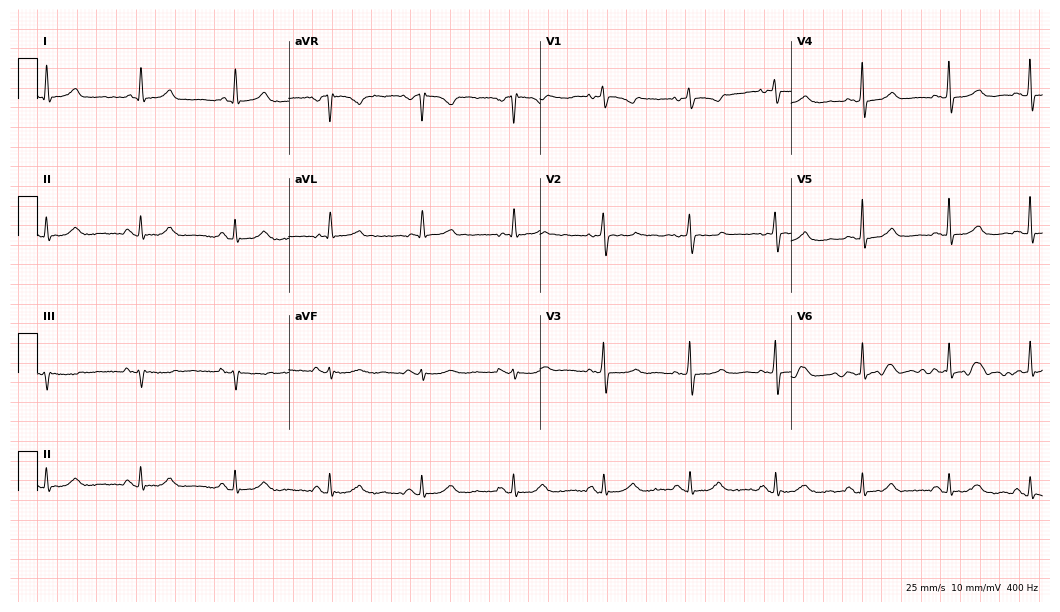
Electrocardiogram, a female patient, 74 years old. Overall reading on record: normal ECG.